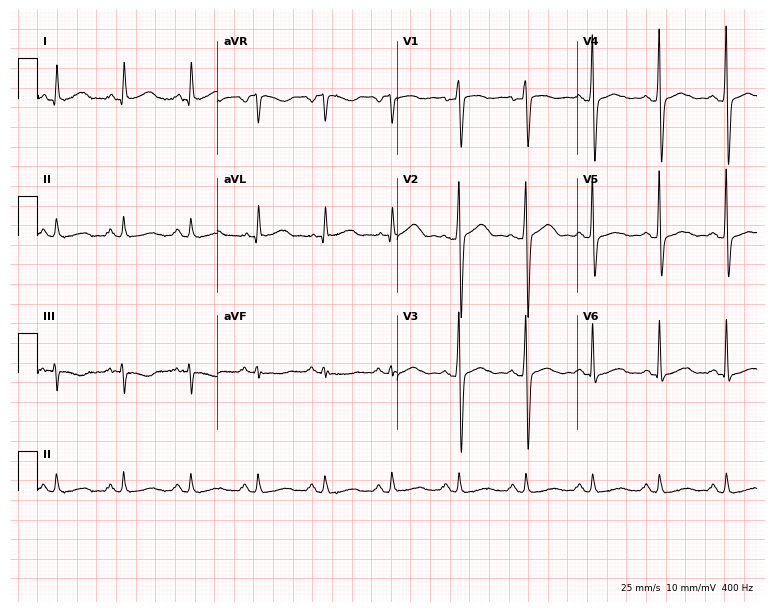
Resting 12-lead electrocardiogram. Patient: a 55-year-old male. None of these six findings is recorded: first-degree AV block, right bundle branch block, left bundle branch block, sinus bradycardia, atrial fibrillation, sinus tachycardia. Only these six findings were labelled.